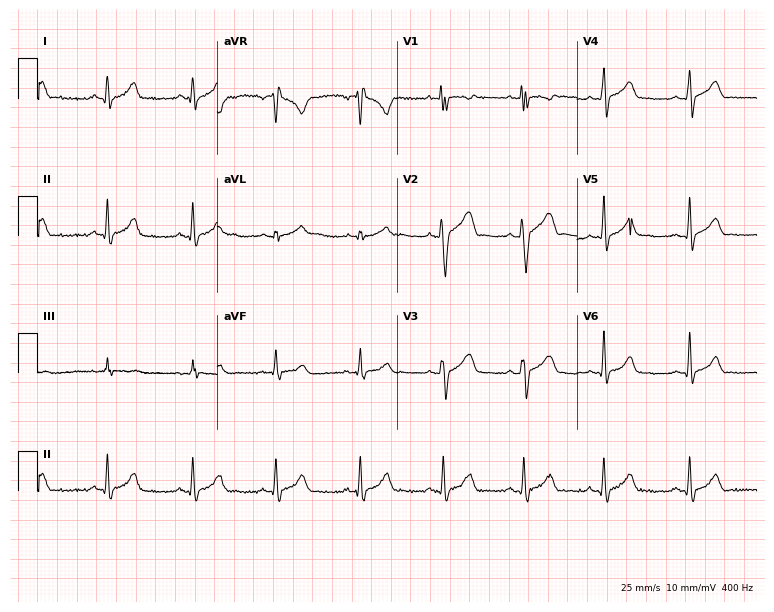
ECG — a 17-year-old male patient. Labelled as a normal ECG.